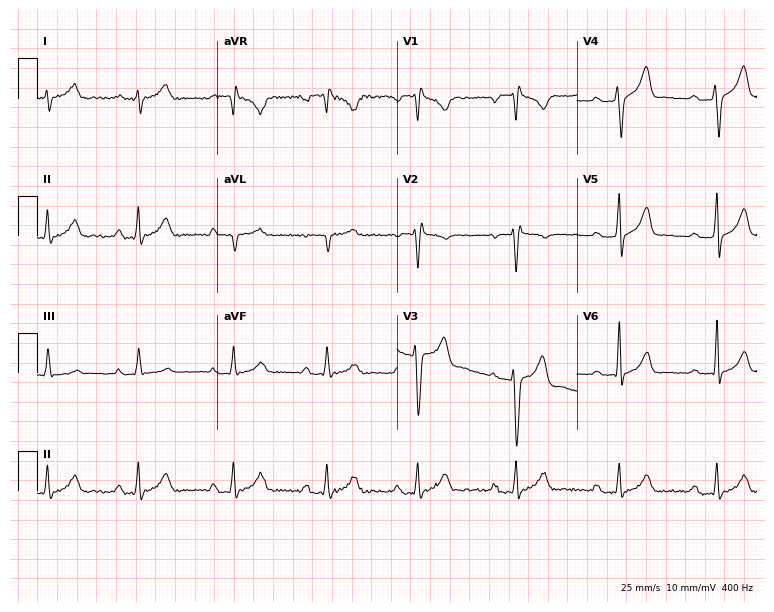
Resting 12-lead electrocardiogram (7.3-second recording at 400 Hz). Patient: a male, 25 years old. None of these six findings is recorded: first-degree AV block, right bundle branch block, left bundle branch block, sinus bradycardia, atrial fibrillation, sinus tachycardia. Other findings, if any, are not listed.